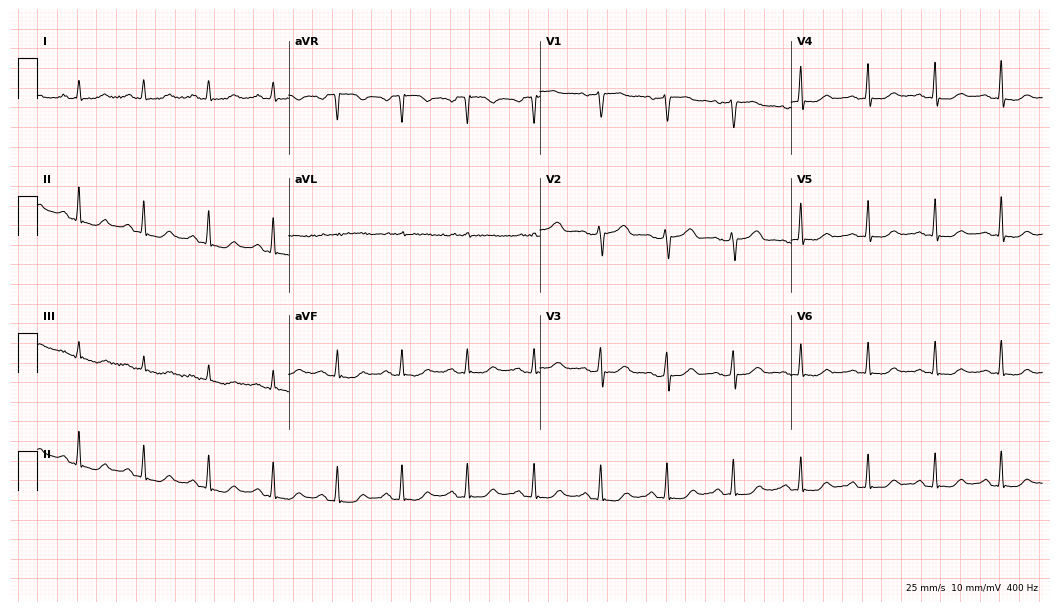
Resting 12-lead electrocardiogram. Patient: a 50-year-old female. Read as a normal ECG.